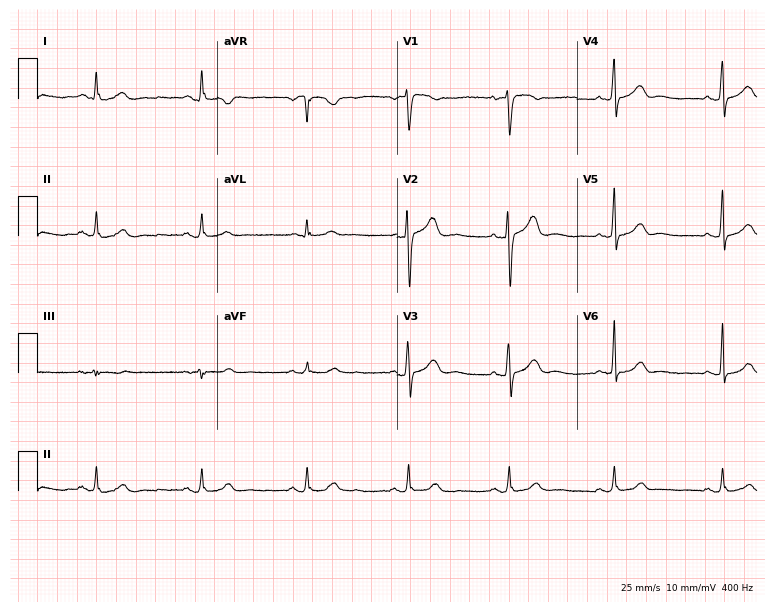
12-lead ECG from a man, 49 years old. No first-degree AV block, right bundle branch block, left bundle branch block, sinus bradycardia, atrial fibrillation or sinus tachycardia recorded for this tracing. Findings outside these six are not listed.